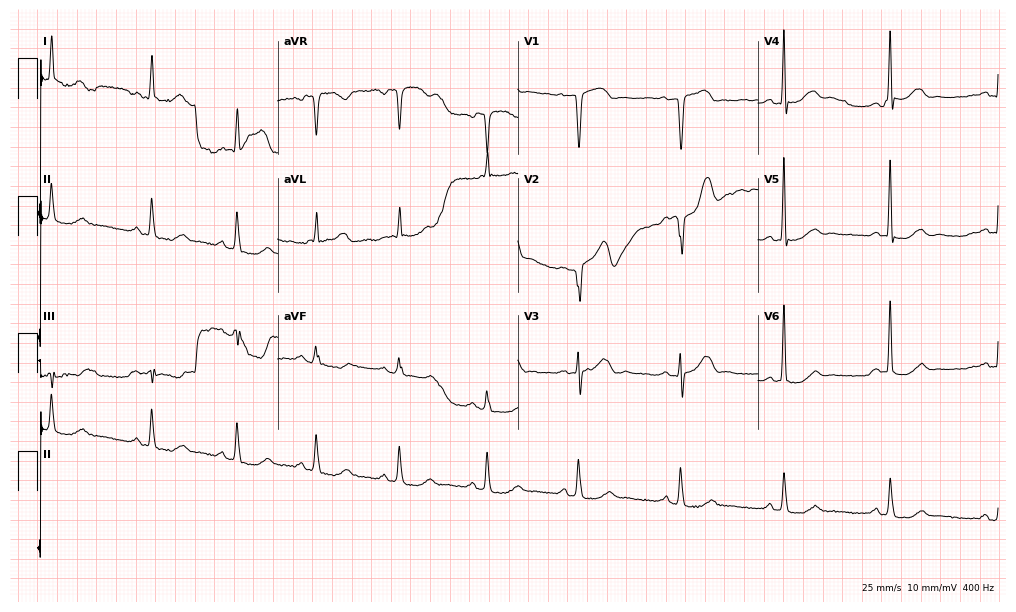
12-lead ECG (9.8-second recording at 400 Hz) from a male patient, 82 years old. Screened for six findings — first-degree AV block, right bundle branch block, left bundle branch block, sinus bradycardia, atrial fibrillation, sinus tachycardia — none is recorded. Other findings, if any, are not listed.